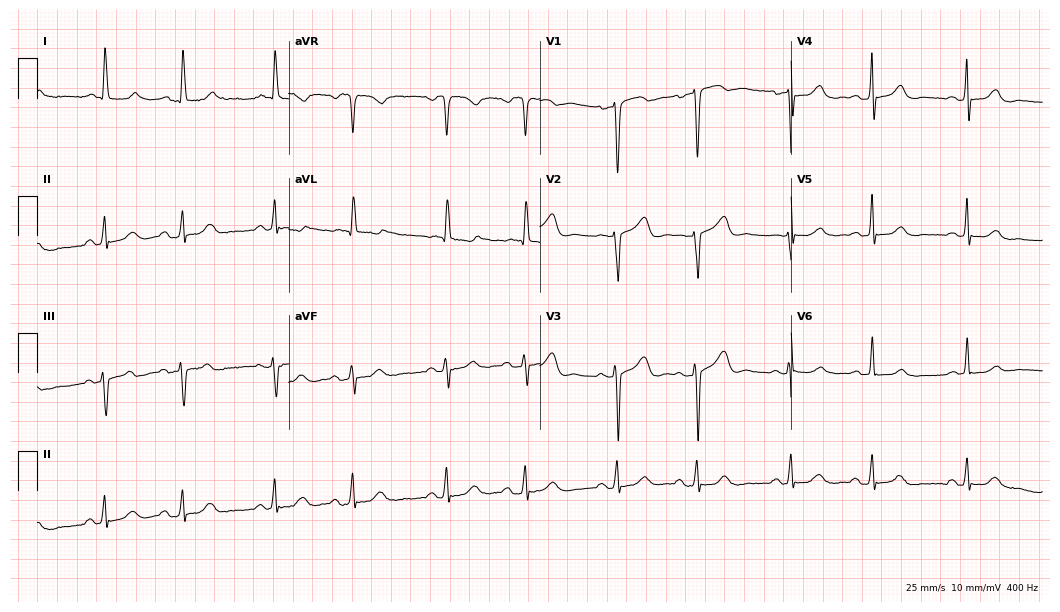
Resting 12-lead electrocardiogram. Patient: a female, 78 years old. None of these six findings is recorded: first-degree AV block, right bundle branch block, left bundle branch block, sinus bradycardia, atrial fibrillation, sinus tachycardia.